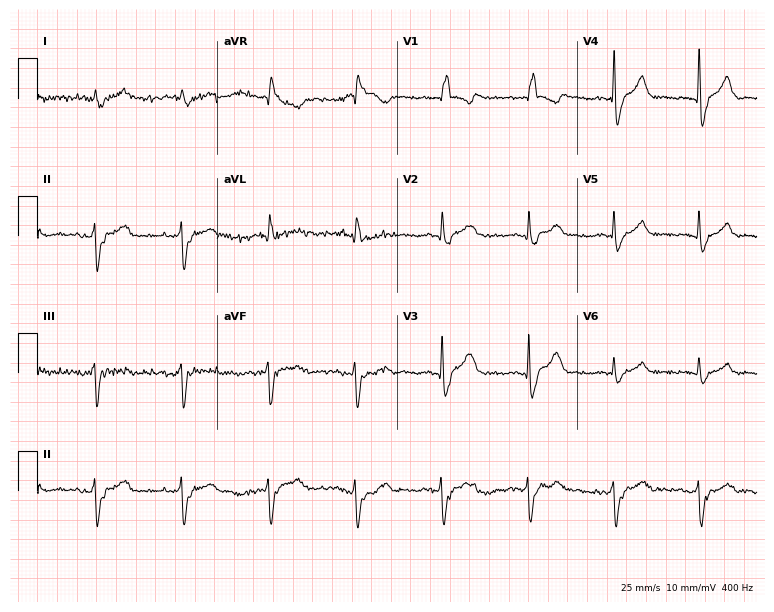
Resting 12-lead electrocardiogram. Patient: a male, 75 years old. None of these six findings is recorded: first-degree AV block, right bundle branch block (RBBB), left bundle branch block (LBBB), sinus bradycardia, atrial fibrillation (AF), sinus tachycardia. Only these six findings were labelled.